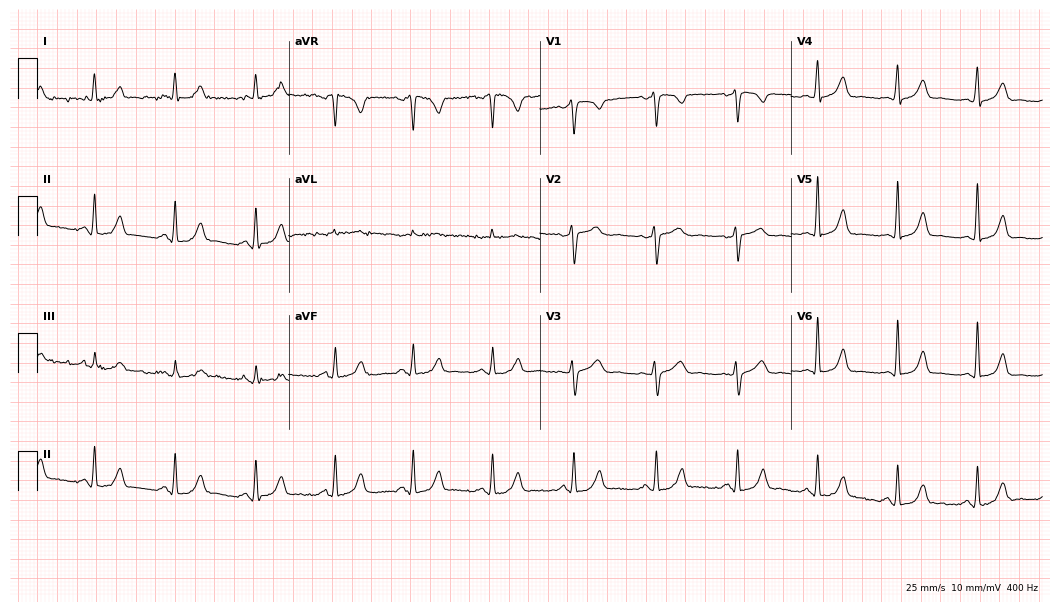
12-lead ECG (10.2-second recording at 400 Hz) from a female patient, 51 years old. Labelled as a normal ECG.